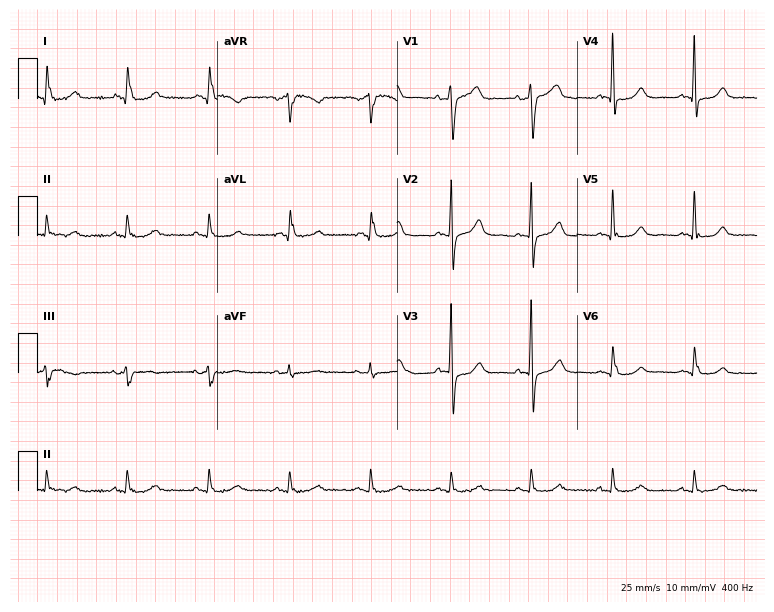
12-lead ECG from a man, 74 years old. Labelled as a normal ECG.